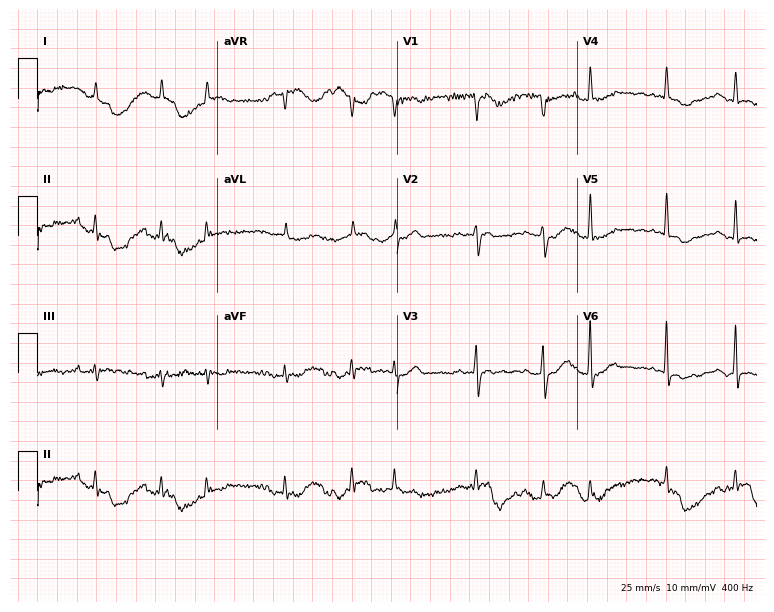
ECG (7.3-second recording at 400 Hz) — a man, 78 years old. Screened for six findings — first-degree AV block, right bundle branch block, left bundle branch block, sinus bradycardia, atrial fibrillation, sinus tachycardia — none is recorded.